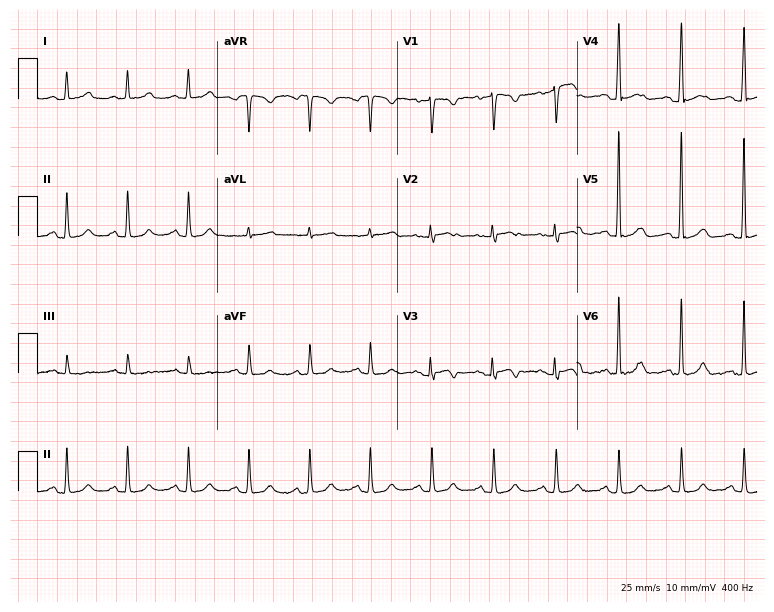
12-lead ECG (7.3-second recording at 400 Hz) from a woman, 54 years old. Screened for six findings — first-degree AV block, right bundle branch block (RBBB), left bundle branch block (LBBB), sinus bradycardia, atrial fibrillation (AF), sinus tachycardia — none is recorded. Findings outside these six are not listed.